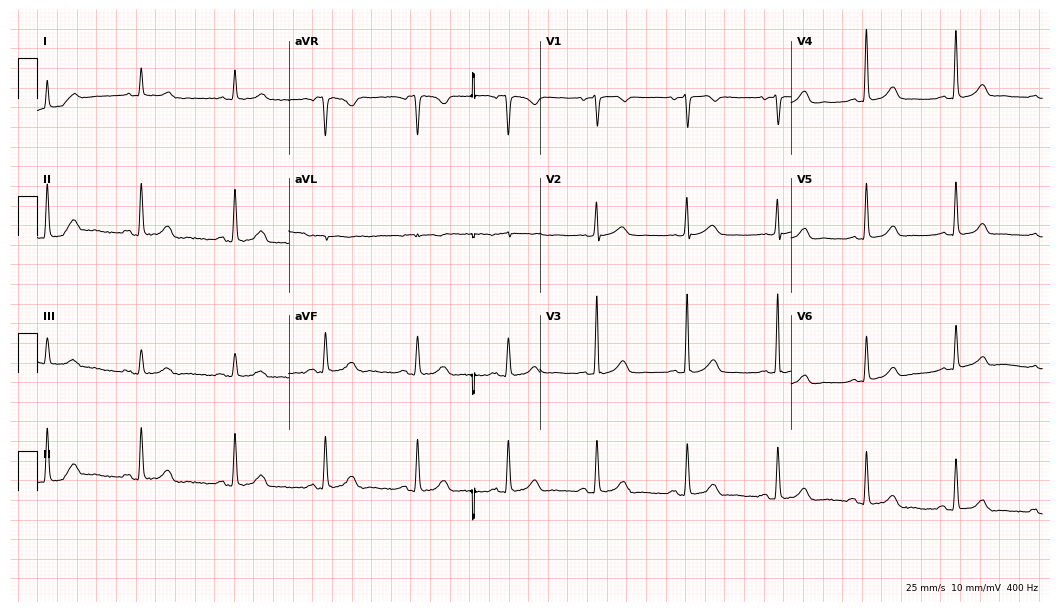
ECG (10.2-second recording at 400 Hz) — a female patient, 56 years old. Labelled as a normal ECG.